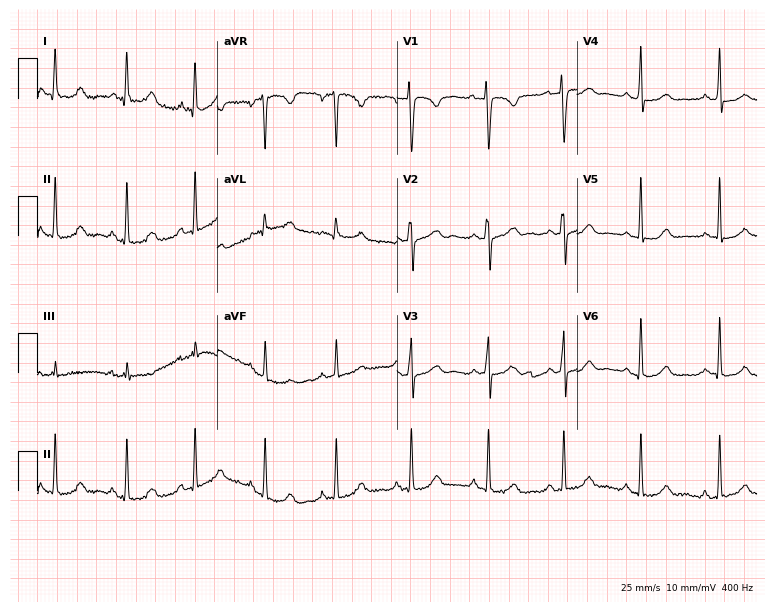
ECG (7.3-second recording at 400 Hz) — a female patient, 25 years old. Screened for six findings — first-degree AV block, right bundle branch block, left bundle branch block, sinus bradycardia, atrial fibrillation, sinus tachycardia — none is recorded.